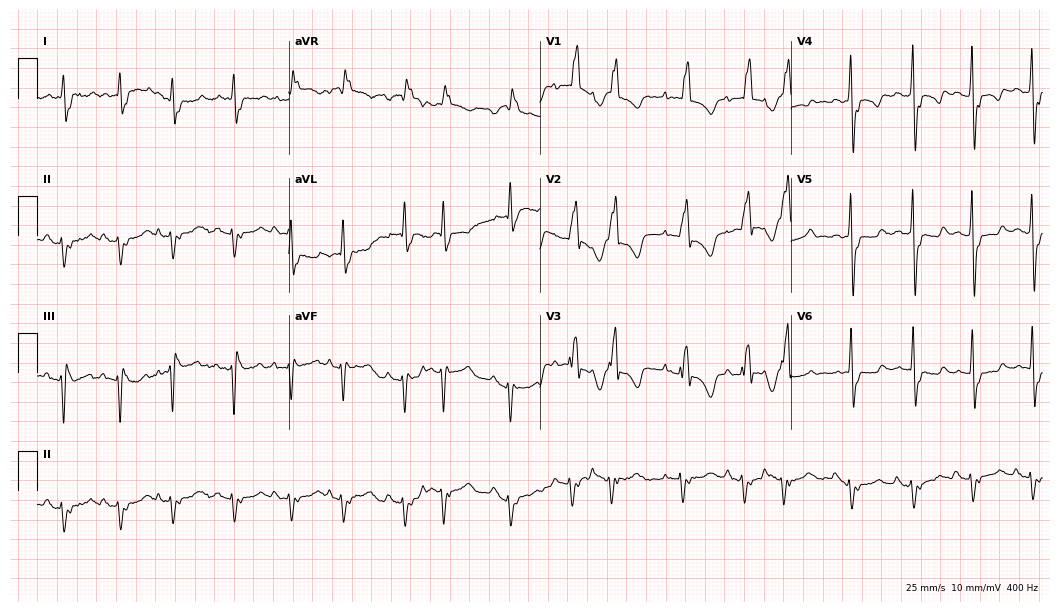
Resting 12-lead electrocardiogram (10.2-second recording at 400 Hz). Patient: a 60-year-old woman. None of these six findings is recorded: first-degree AV block, right bundle branch block, left bundle branch block, sinus bradycardia, atrial fibrillation, sinus tachycardia.